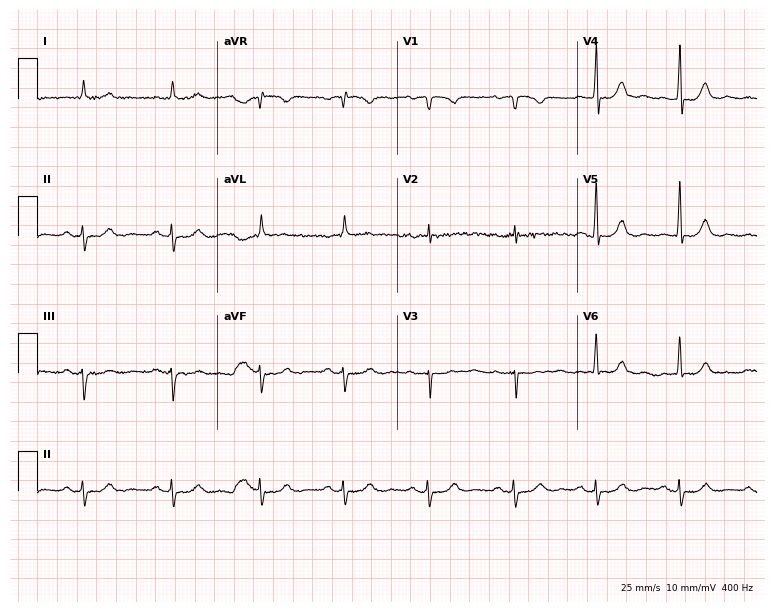
Electrocardiogram (7.3-second recording at 400 Hz), an 80-year-old male patient. Of the six screened findings (first-degree AV block, right bundle branch block (RBBB), left bundle branch block (LBBB), sinus bradycardia, atrial fibrillation (AF), sinus tachycardia), none is recorded. Other findings, if any, are not listed.